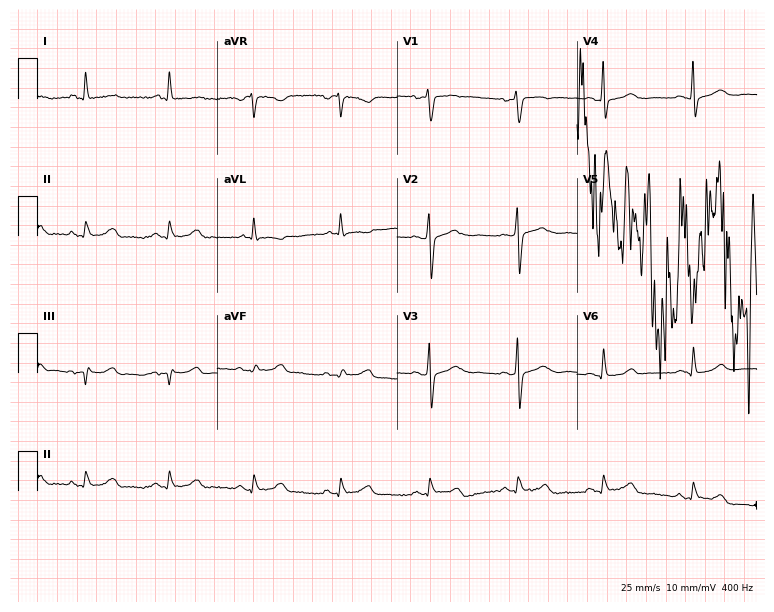
Standard 12-lead ECG recorded from a woman, 53 years old (7.3-second recording at 400 Hz). None of these six findings is recorded: first-degree AV block, right bundle branch block, left bundle branch block, sinus bradycardia, atrial fibrillation, sinus tachycardia.